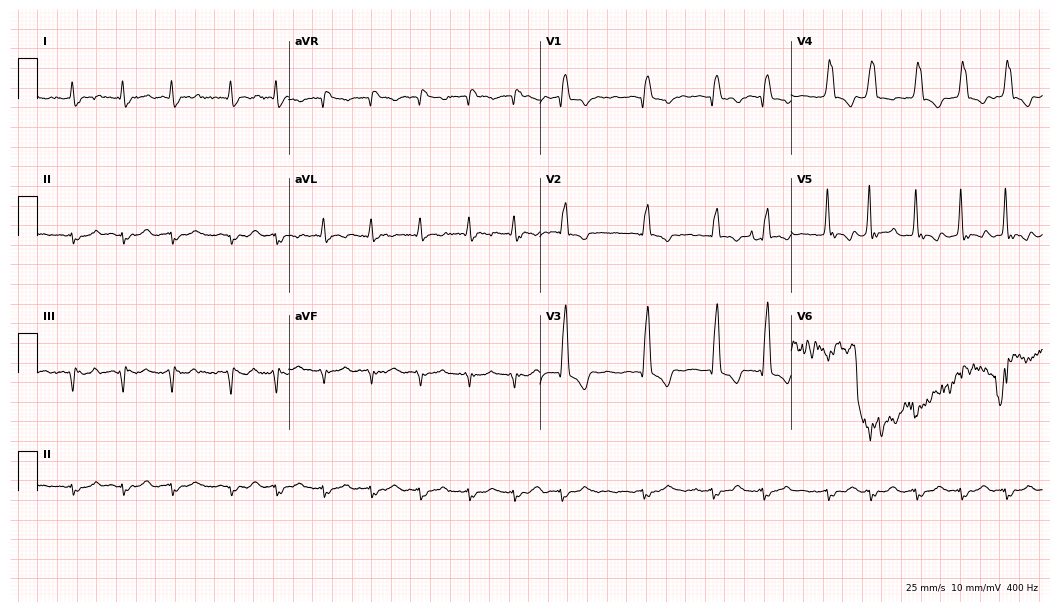
Resting 12-lead electrocardiogram (10.2-second recording at 400 Hz). Patient: an 80-year-old man. The tracing shows right bundle branch block, atrial fibrillation, sinus tachycardia (a sinus rate of 100 beats per minute or more).